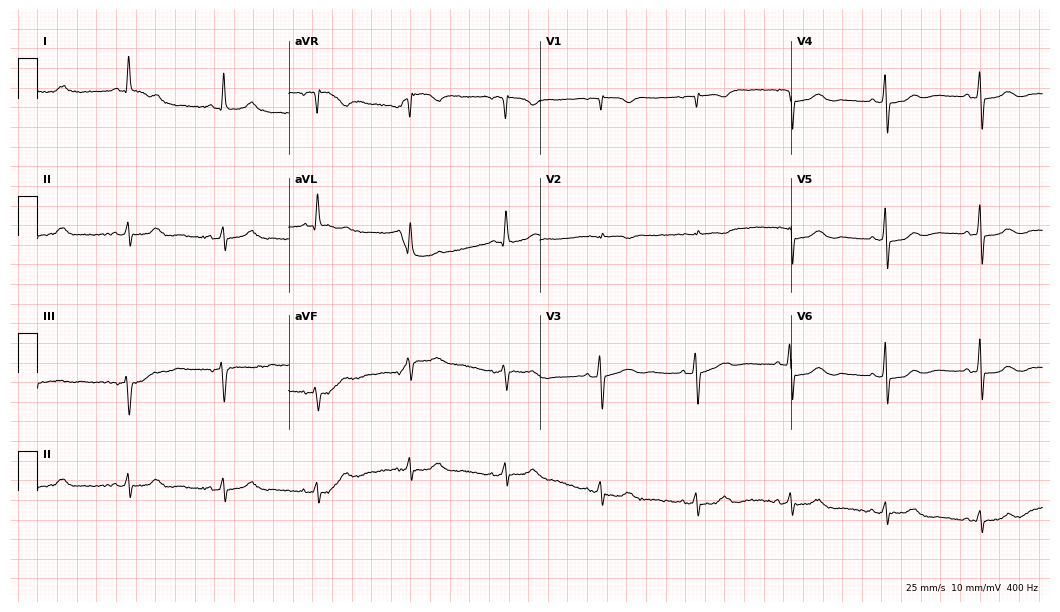
ECG (10.2-second recording at 400 Hz) — an 84-year-old woman. Labelled as a normal ECG.